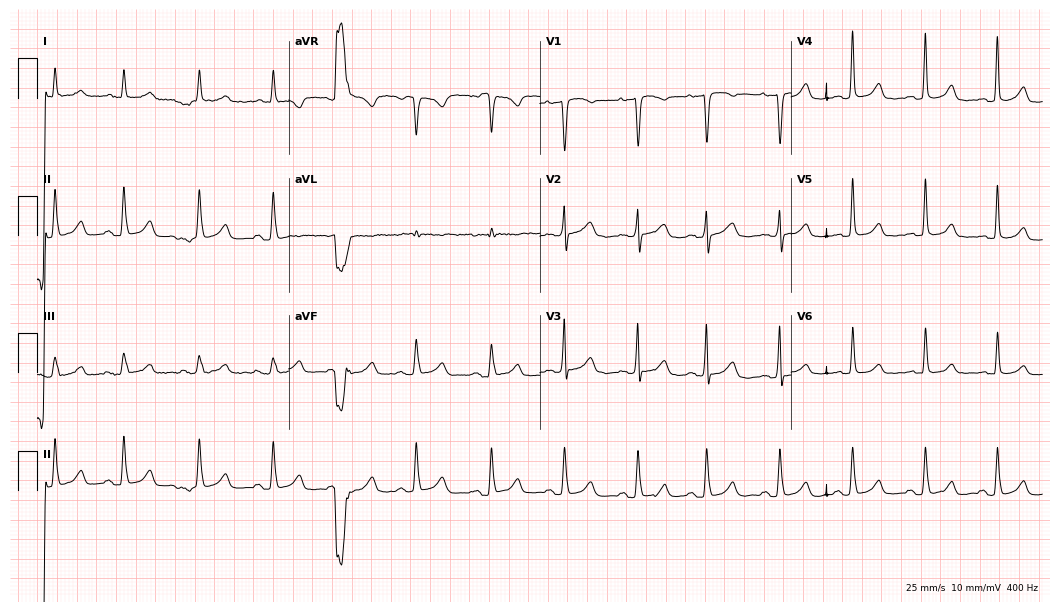
12-lead ECG from a 56-year-old woman (10.2-second recording at 400 Hz). No first-degree AV block, right bundle branch block (RBBB), left bundle branch block (LBBB), sinus bradycardia, atrial fibrillation (AF) or sinus tachycardia recorded for this tracing. Only these six findings were labelled.